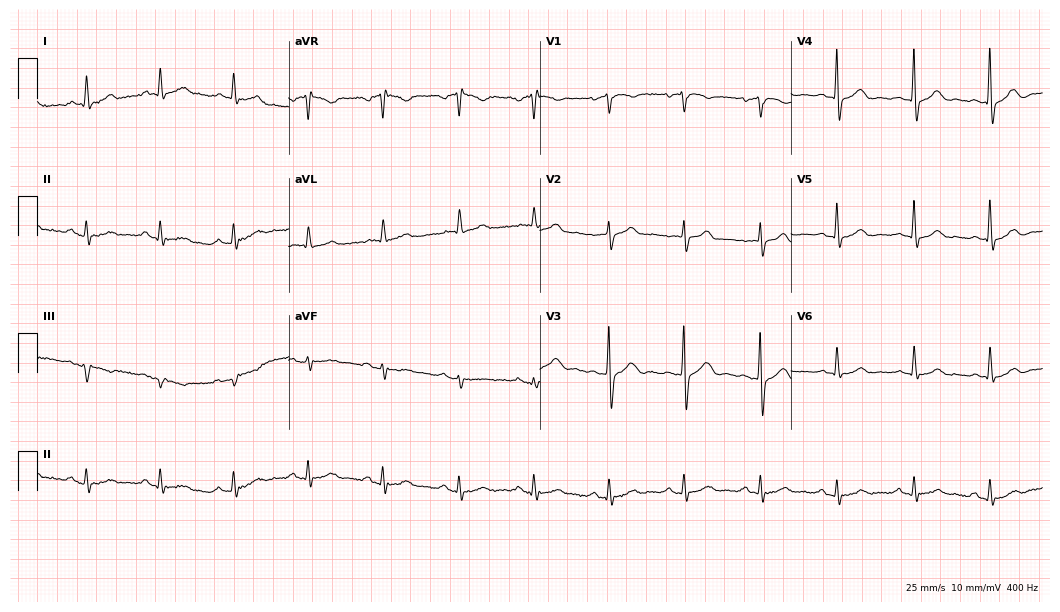
12-lead ECG from a man, 71 years old (10.2-second recording at 400 Hz). Recorded interpretation: within normal limits.